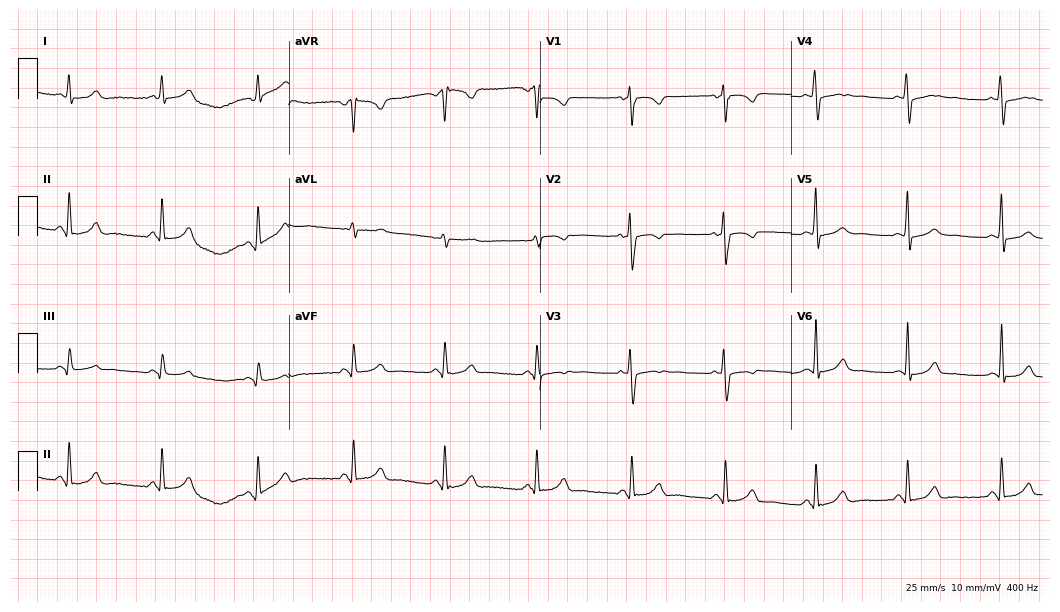
12-lead ECG from a woman, 33 years old. Recorded interpretation: within normal limits.